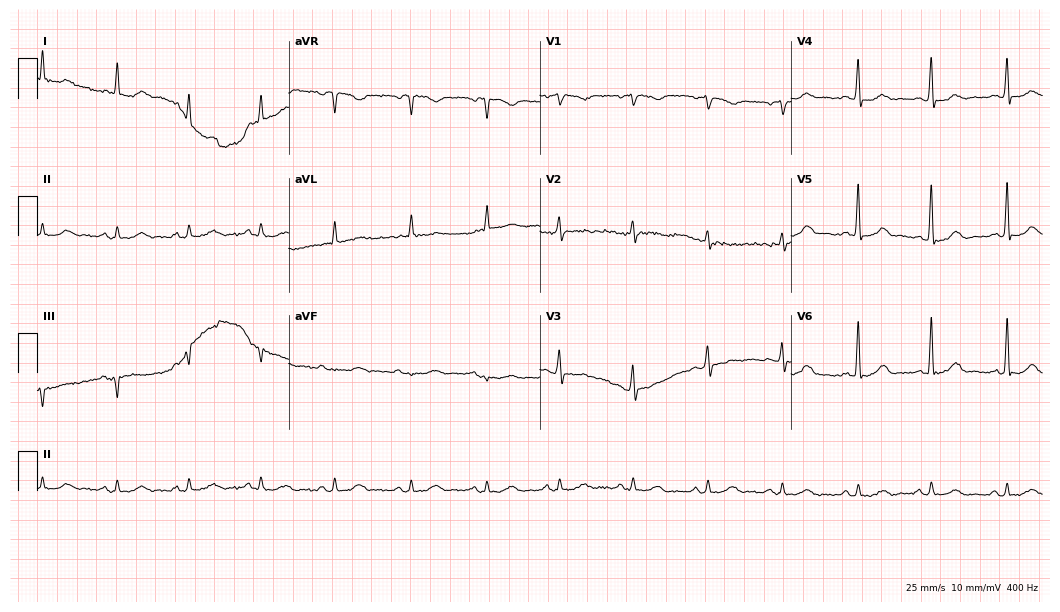
Standard 12-lead ECG recorded from a man, 85 years old (10.2-second recording at 400 Hz). Read as a normal ECG.